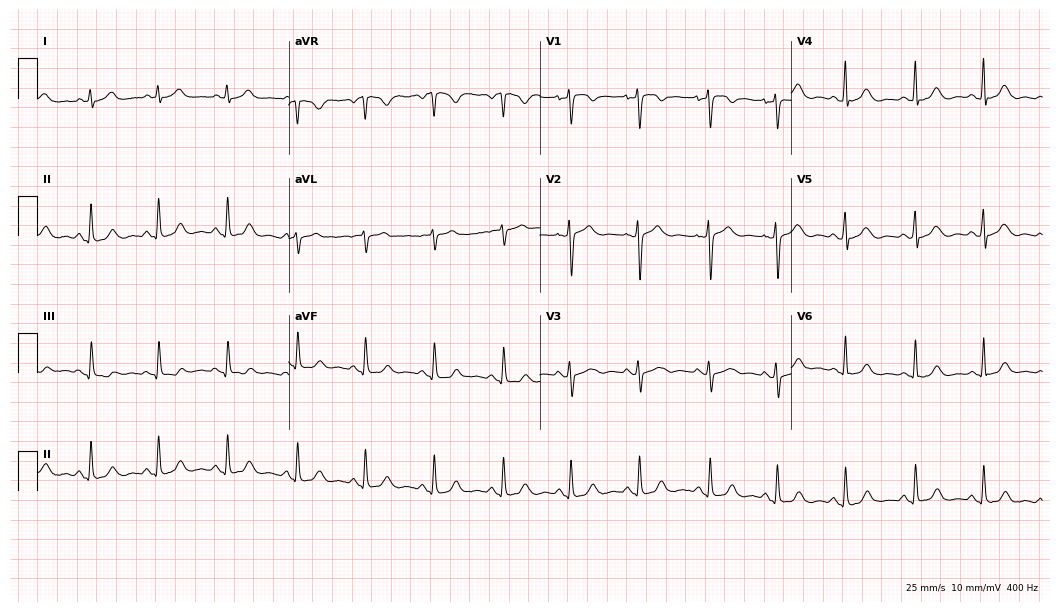
12-lead ECG (10.2-second recording at 400 Hz) from a 54-year-old woman. Labelled as a normal ECG.